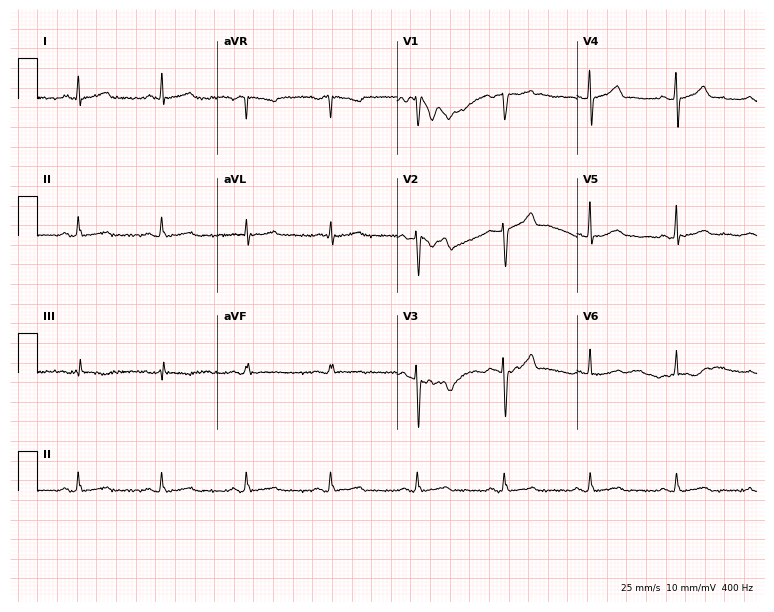
Electrocardiogram (7.3-second recording at 400 Hz), a male patient, 56 years old. Overall reading on record: normal ECG.